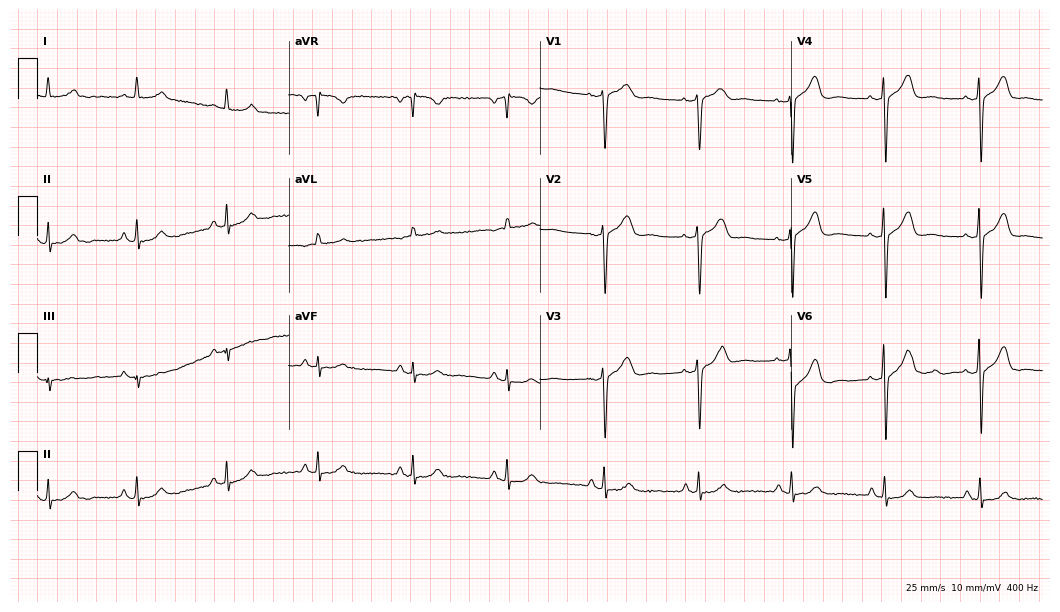
Resting 12-lead electrocardiogram (10.2-second recording at 400 Hz). Patient: a 61-year-old man. None of these six findings is recorded: first-degree AV block, right bundle branch block, left bundle branch block, sinus bradycardia, atrial fibrillation, sinus tachycardia. Only these six findings were labelled.